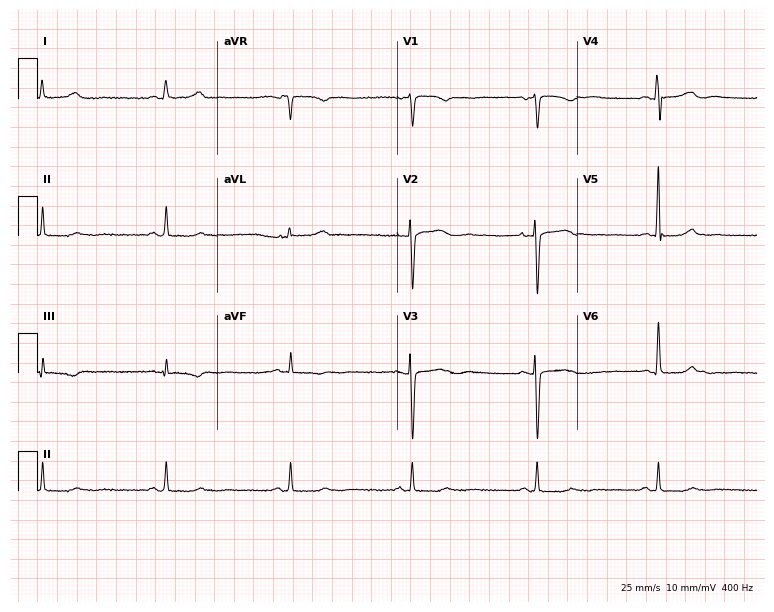
Standard 12-lead ECG recorded from a female patient, 52 years old. The tracing shows sinus bradycardia (a sinus rate of 50 beats per minute or less).